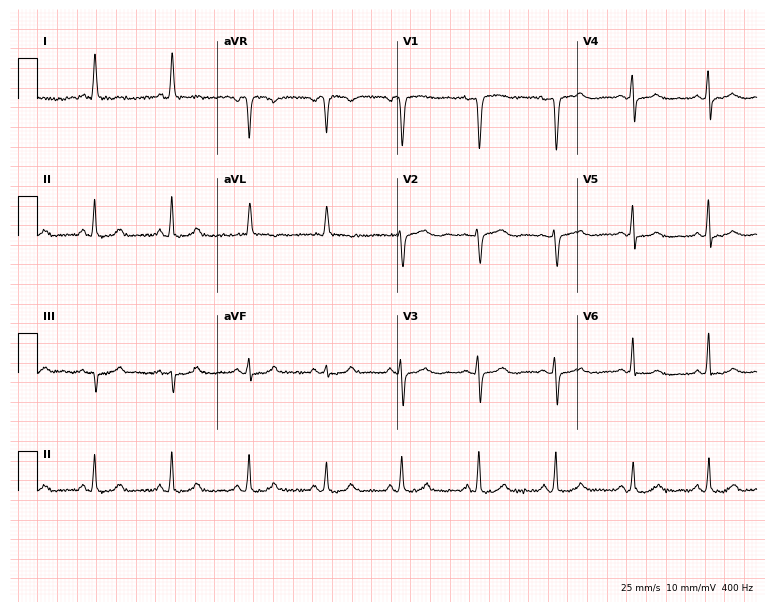
ECG — a female, 72 years old. Labelled as a normal ECG.